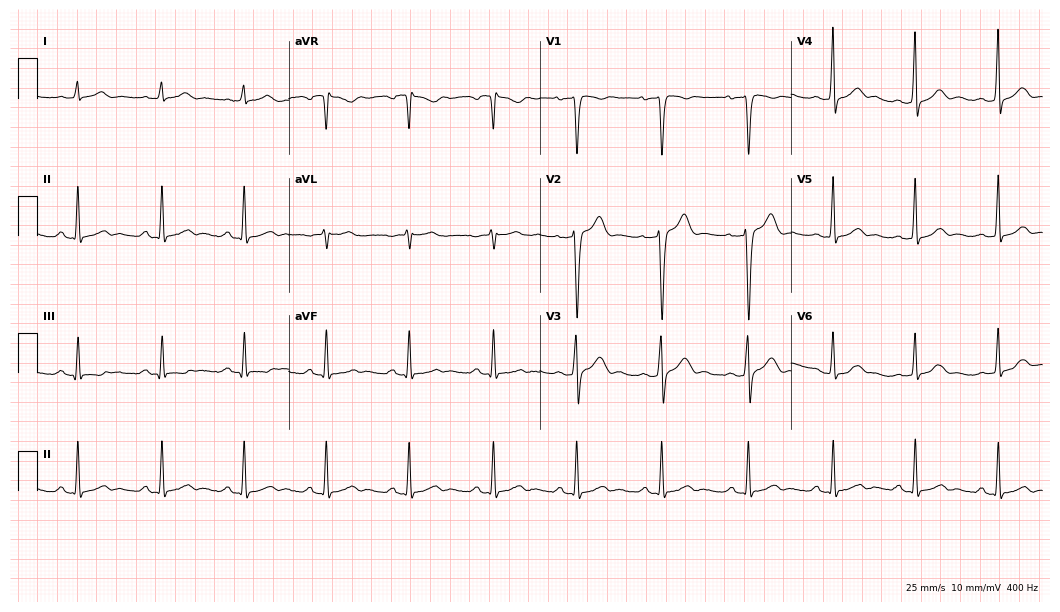
12-lead ECG (10.2-second recording at 400 Hz) from a man, 28 years old. Screened for six findings — first-degree AV block, right bundle branch block, left bundle branch block, sinus bradycardia, atrial fibrillation, sinus tachycardia — none is recorded.